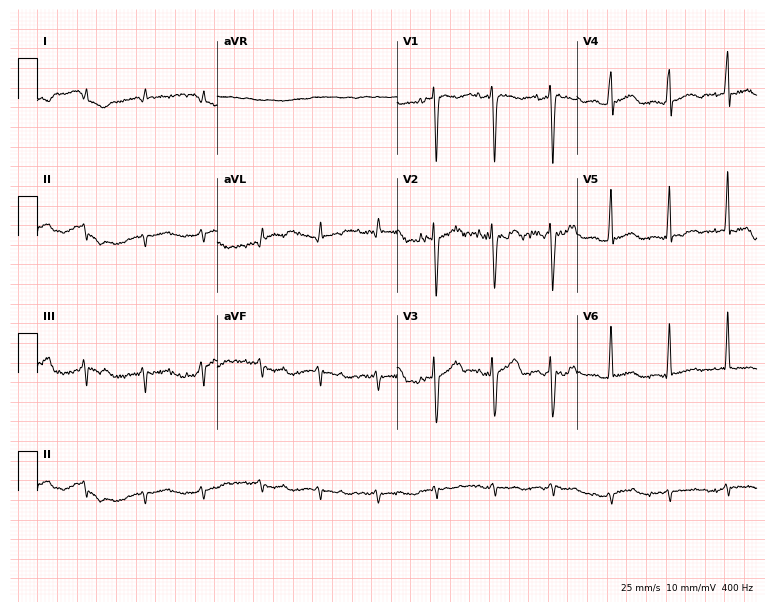
12-lead ECG from a 34-year-old male patient (7.3-second recording at 400 Hz). No first-degree AV block, right bundle branch block, left bundle branch block, sinus bradycardia, atrial fibrillation or sinus tachycardia recorded for this tracing. Only these six findings were labelled.